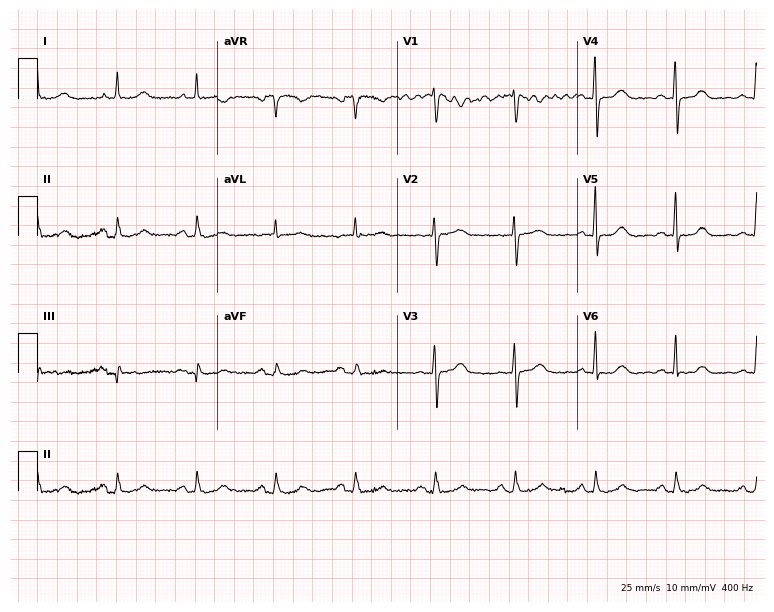
Electrocardiogram (7.3-second recording at 400 Hz), an 82-year-old woman. Of the six screened findings (first-degree AV block, right bundle branch block, left bundle branch block, sinus bradycardia, atrial fibrillation, sinus tachycardia), none is recorded. Only these six findings were labelled.